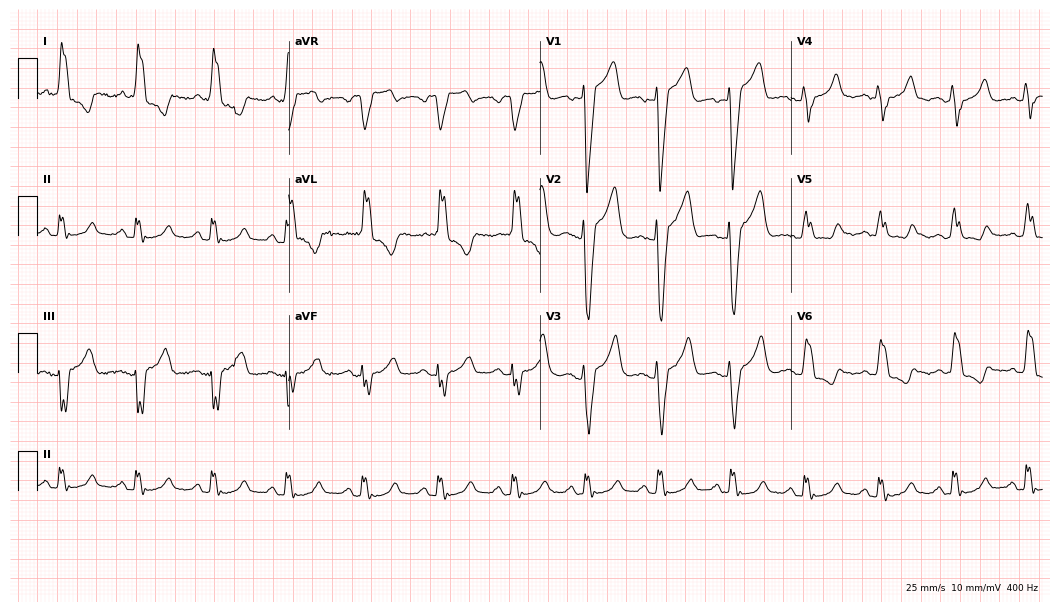
Electrocardiogram, a woman, 71 years old. Interpretation includes left bundle branch block.